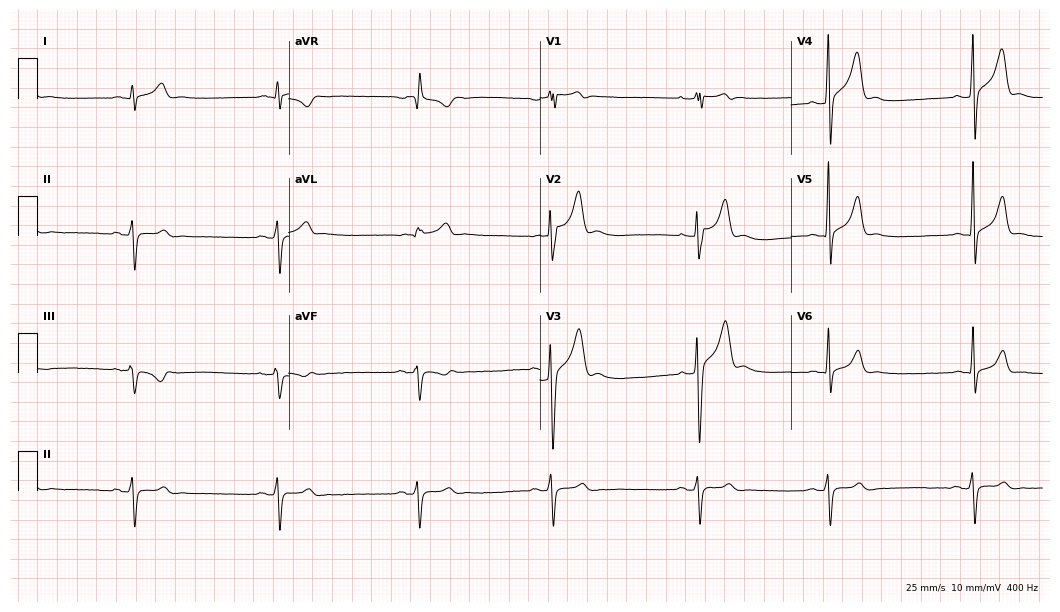
12-lead ECG from a 26-year-old male patient. Screened for six findings — first-degree AV block, right bundle branch block, left bundle branch block, sinus bradycardia, atrial fibrillation, sinus tachycardia — none is recorded. Other findings, if any, are not listed.